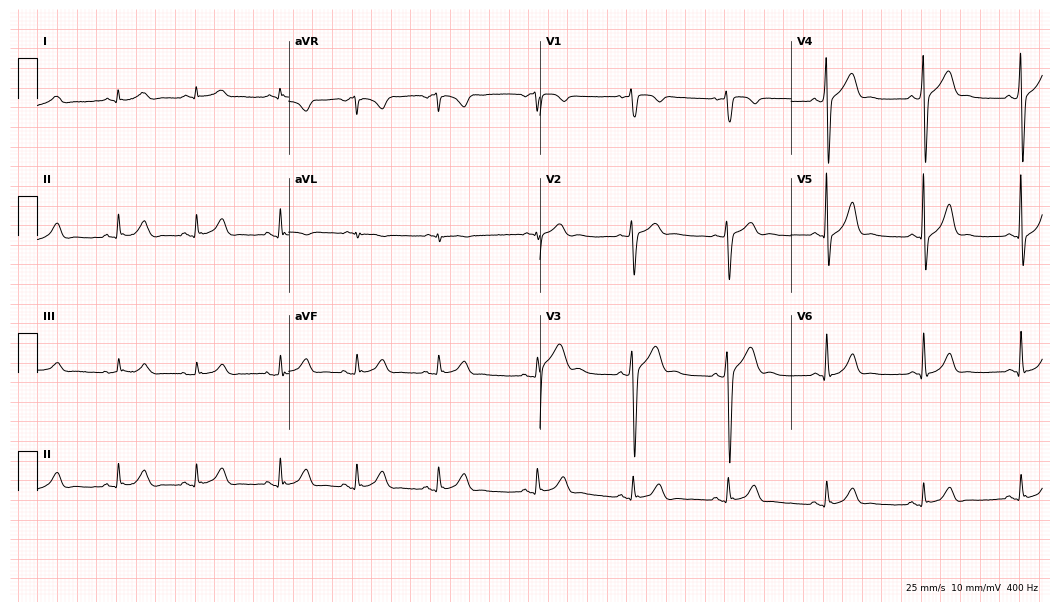
Resting 12-lead electrocardiogram. Patient: a man, 39 years old. None of these six findings is recorded: first-degree AV block, right bundle branch block, left bundle branch block, sinus bradycardia, atrial fibrillation, sinus tachycardia. Only these six findings were labelled.